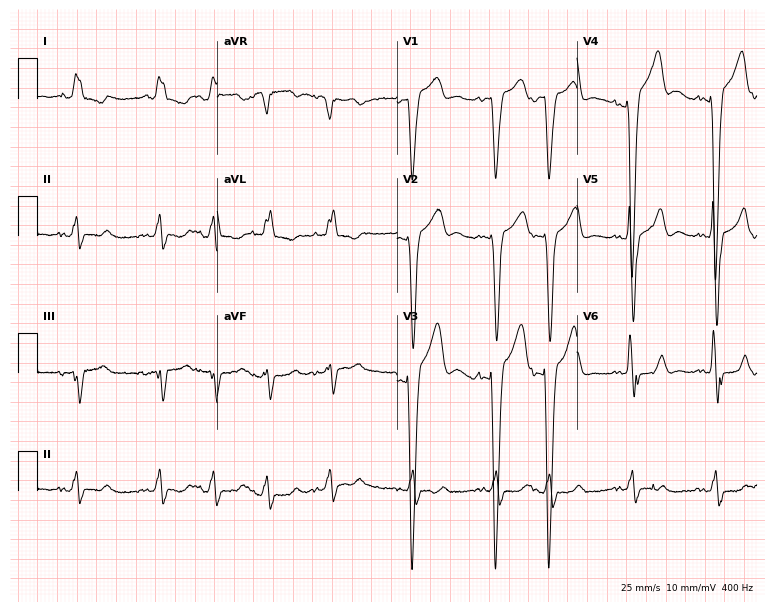
ECG — an 80-year-old male. Findings include left bundle branch block.